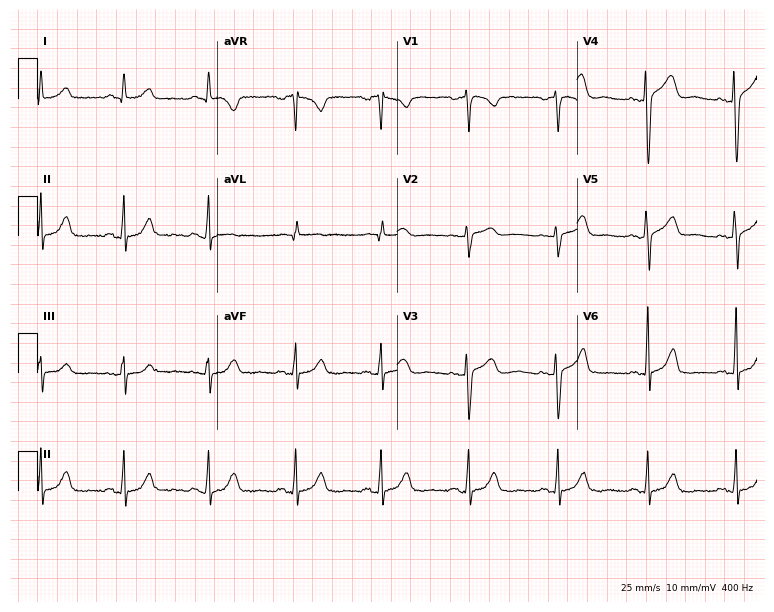
12-lead ECG from a woman, 50 years old (7.3-second recording at 400 Hz). Recorded interpretation: within normal limits.